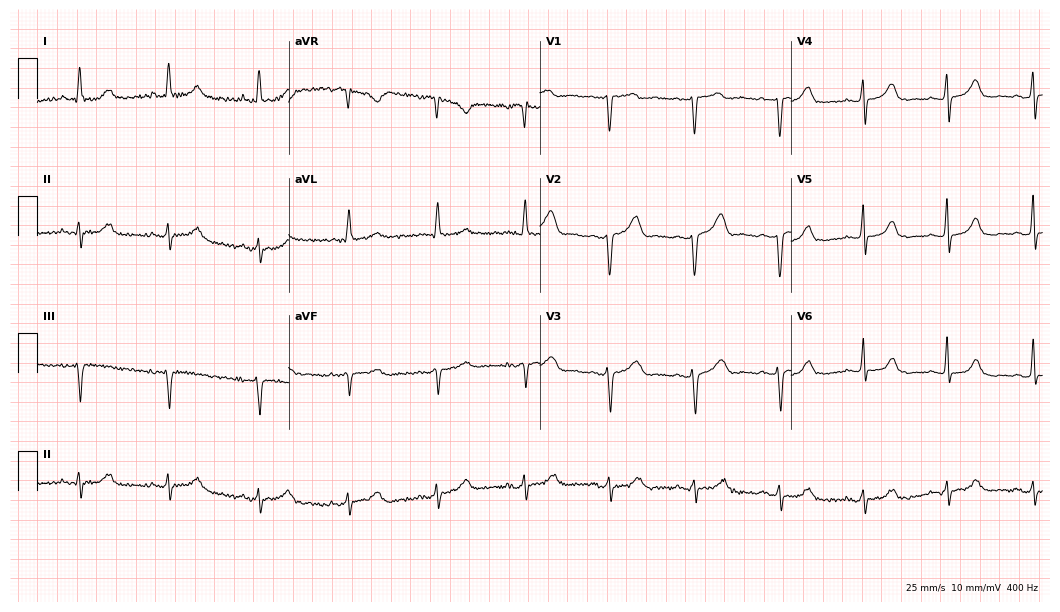
Electrocardiogram (10.2-second recording at 400 Hz), a 64-year-old female. Of the six screened findings (first-degree AV block, right bundle branch block, left bundle branch block, sinus bradycardia, atrial fibrillation, sinus tachycardia), none is recorded.